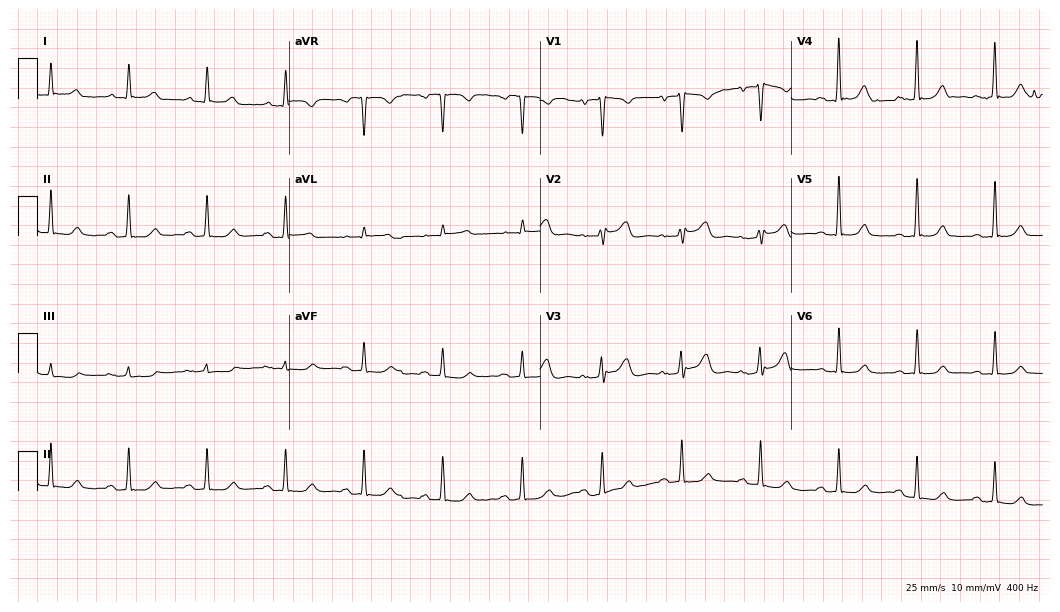
Electrocardiogram, a woman, 60 years old. Overall reading on record: normal ECG.